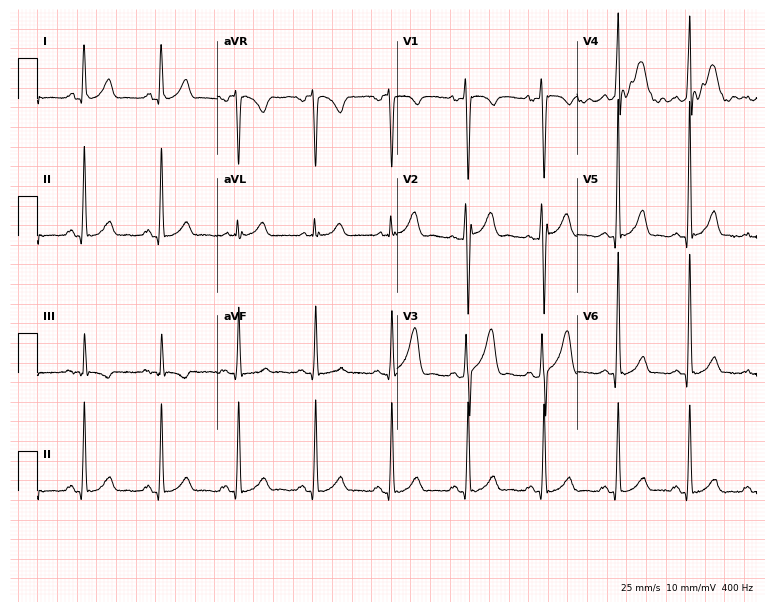
12-lead ECG (7.3-second recording at 400 Hz) from a 35-year-old man. Screened for six findings — first-degree AV block, right bundle branch block, left bundle branch block, sinus bradycardia, atrial fibrillation, sinus tachycardia — none is recorded.